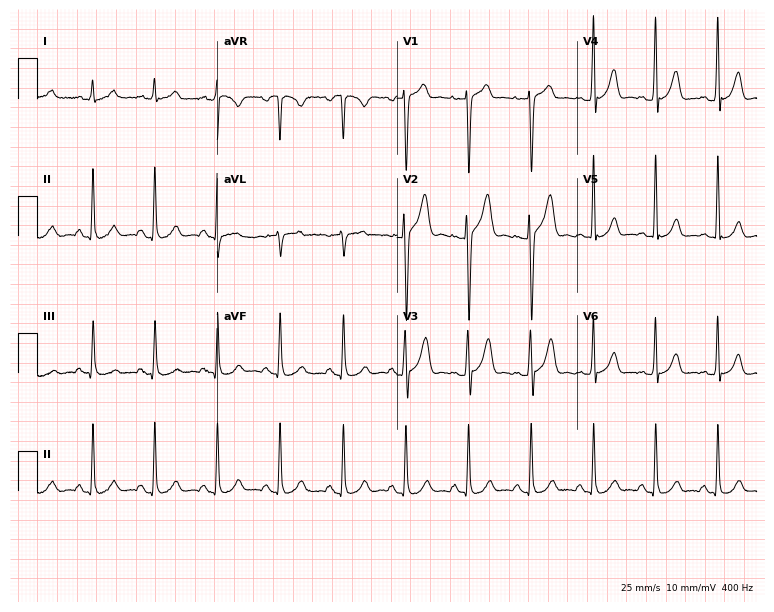
12-lead ECG (7.3-second recording at 400 Hz) from a 37-year-old man. Screened for six findings — first-degree AV block, right bundle branch block, left bundle branch block, sinus bradycardia, atrial fibrillation, sinus tachycardia — none is recorded. Only these six findings were labelled.